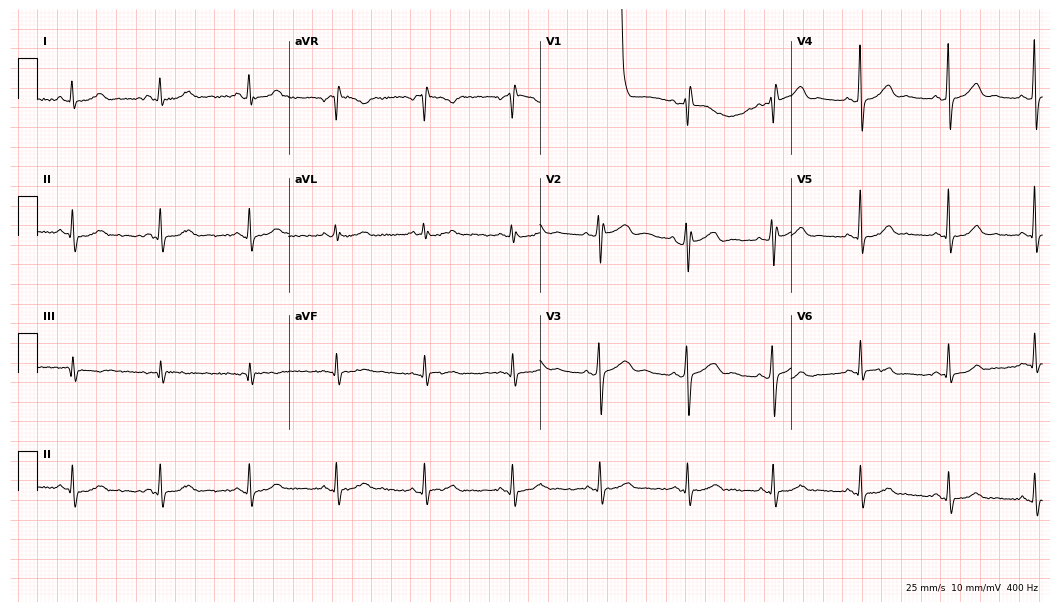
ECG — a 55-year-old female patient. Screened for six findings — first-degree AV block, right bundle branch block, left bundle branch block, sinus bradycardia, atrial fibrillation, sinus tachycardia — none is recorded. Other findings, if any, are not listed.